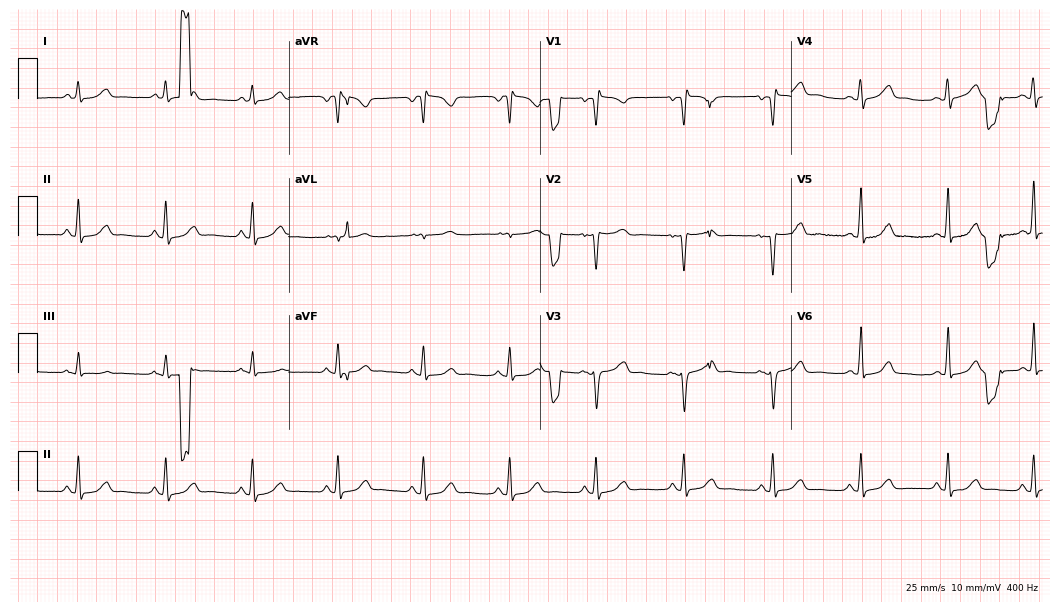
12-lead ECG from a woman, 52 years old. Screened for six findings — first-degree AV block, right bundle branch block, left bundle branch block, sinus bradycardia, atrial fibrillation, sinus tachycardia — none is recorded. Findings outside these six are not listed.